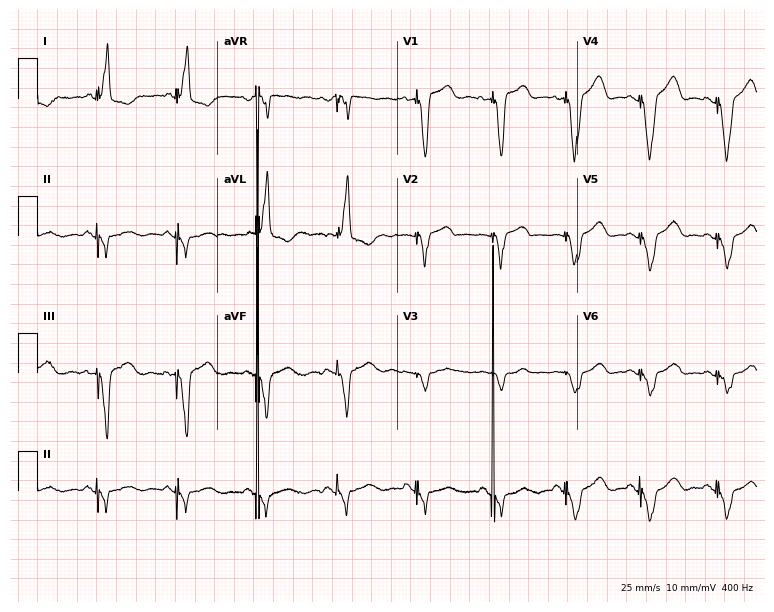
Resting 12-lead electrocardiogram (7.3-second recording at 400 Hz). Patient: a male, 83 years old. None of these six findings is recorded: first-degree AV block, right bundle branch block (RBBB), left bundle branch block (LBBB), sinus bradycardia, atrial fibrillation (AF), sinus tachycardia. Other findings, if any, are not listed.